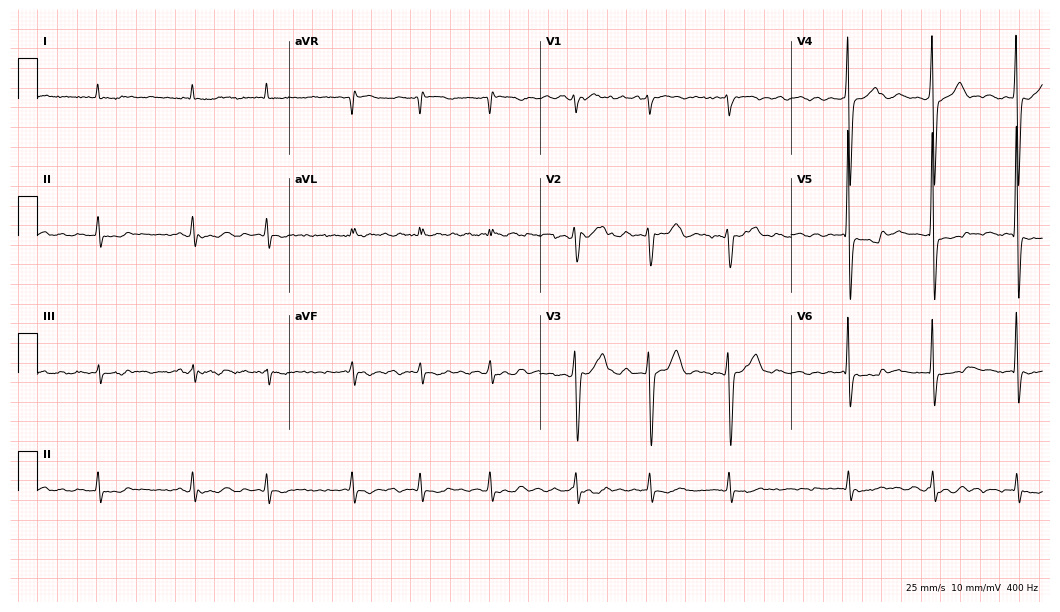
Standard 12-lead ECG recorded from a man, 83 years old (10.2-second recording at 400 Hz). The tracing shows atrial fibrillation.